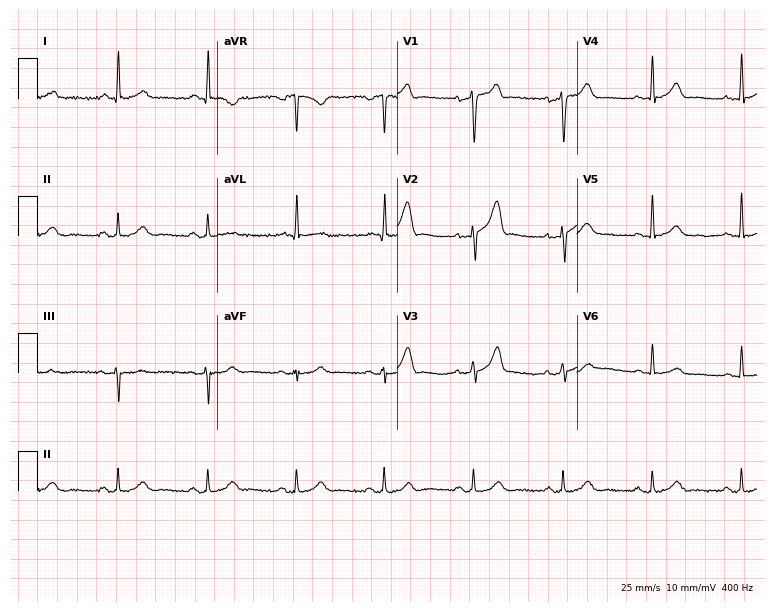
Standard 12-lead ECG recorded from a man, 66 years old. None of these six findings is recorded: first-degree AV block, right bundle branch block, left bundle branch block, sinus bradycardia, atrial fibrillation, sinus tachycardia.